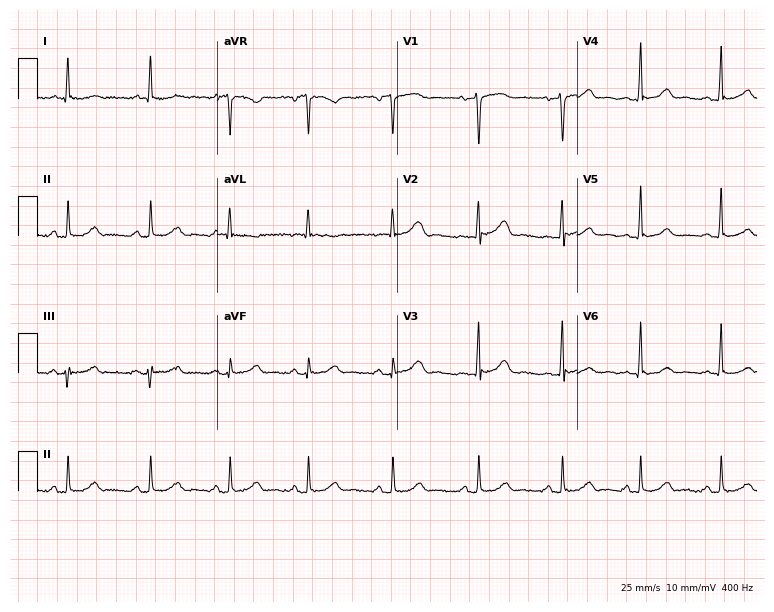
ECG (7.3-second recording at 400 Hz) — a 50-year-old female. Screened for six findings — first-degree AV block, right bundle branch block (RBBB), left bundle branch block (LBBB), sinus bradycardia, atrial fibrillation (AF), sinus tachycardia — none is recorded.